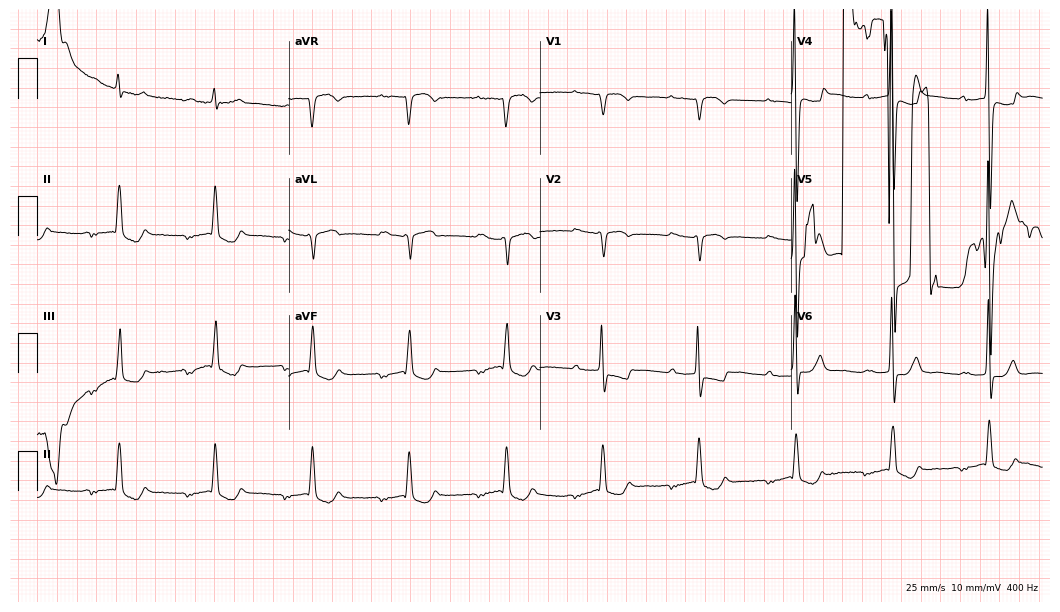
Resting 12-lead electrocardiogram (10.2-second recording at 400 Hz). Patient: a 77-year-old male. None of these six findings is recorded: first-degree AV block, right bundle branch block, left bundle branch block, sinus bradycardia, atrial fibrillation, sinus tachycardia.